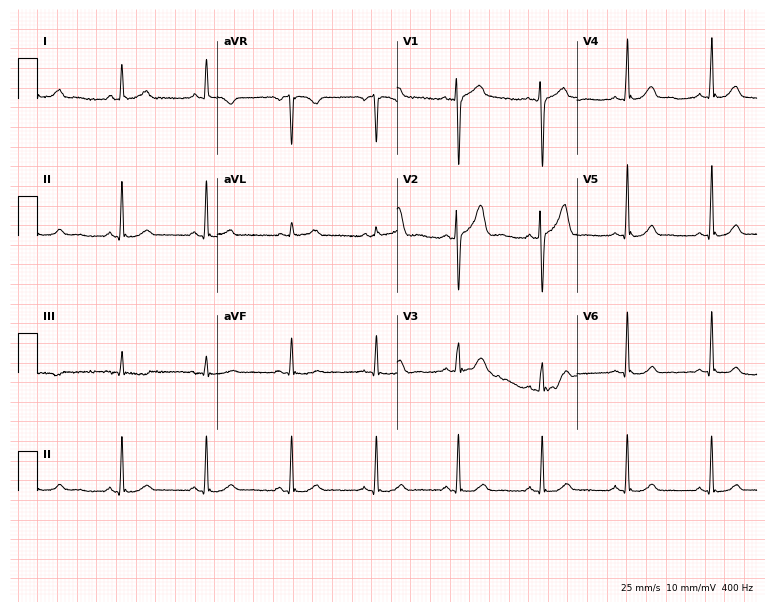
ECG (7.3-second recording at 400 Hz) — a 44-year-old woman. Screened for six findings — first-degree AV block, right bundle branch block (RBBB), left bundle branch block (LBBB), sinus bradycardia, atrial fibrillation (AF), sinus tachycardia — none is recorded. Other findings, if any, are not listed.